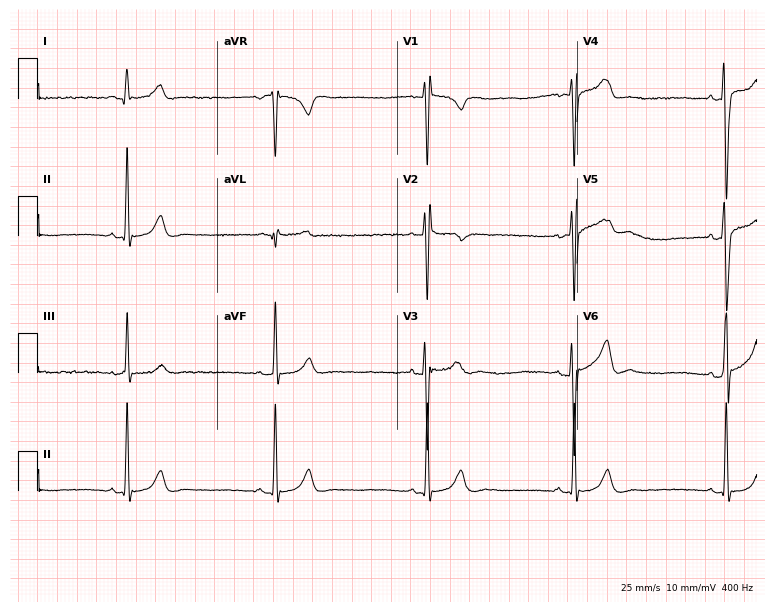
Electrocardiogram, a male patient, 33 years old. Interpretation includes sinus bradycardia (a sinus rate of 50 beats per minute or less).